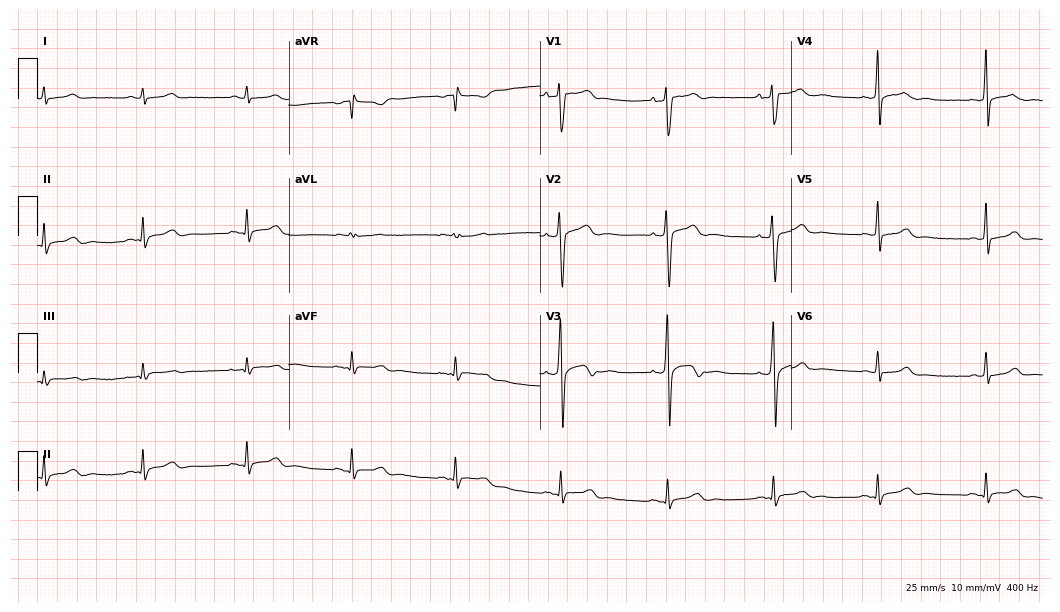
12-lead ECG from a 35-year-old male. Recorded interpretation: within normal limits.